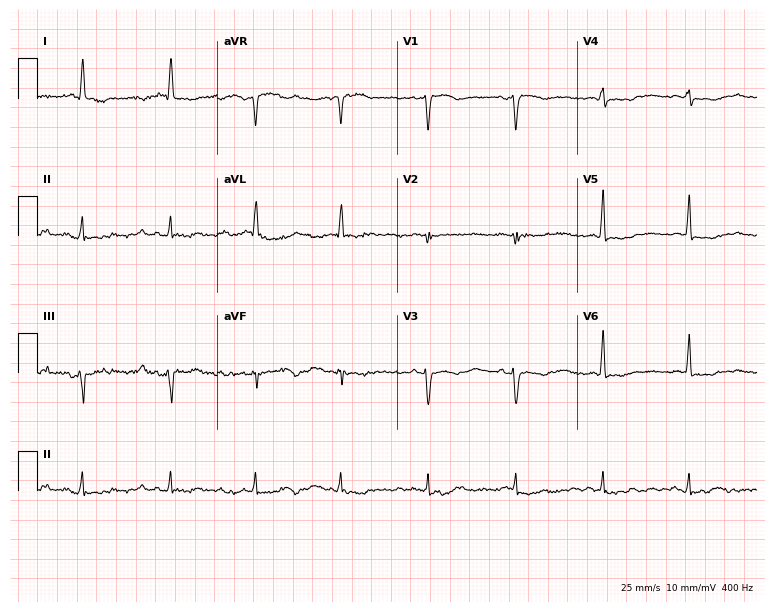
12-lead ECG (7.3-second recording at 400 Hz) from a 71-year-old female patient. Labelled as a normal ECG.